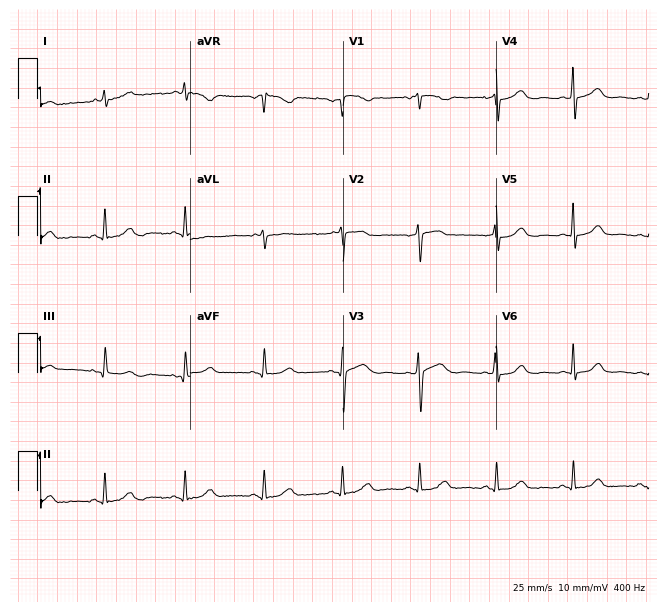
12-lead ECG from a female, 58 years old. Labelled as a normal ECG.